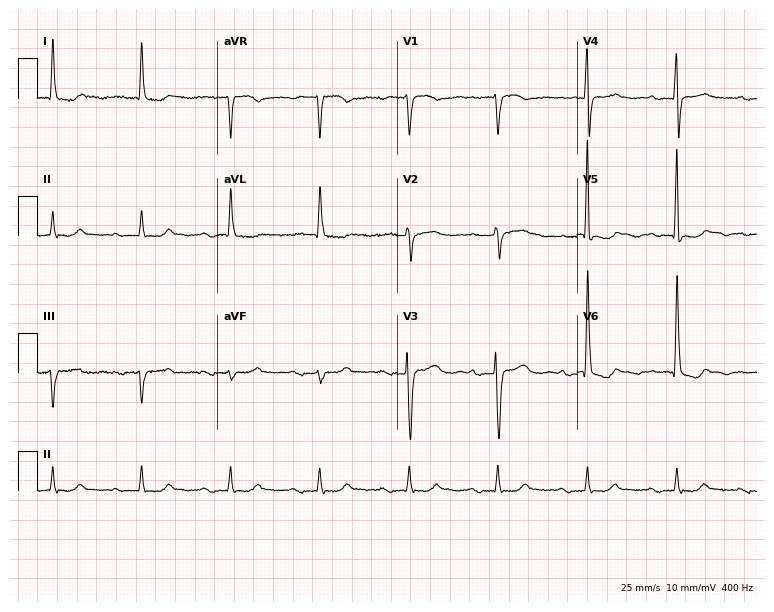
Electrocardiogram (7.3-second recording at 400 Hz), a 78-year-old female. Interpretation includes first-degree AV block.